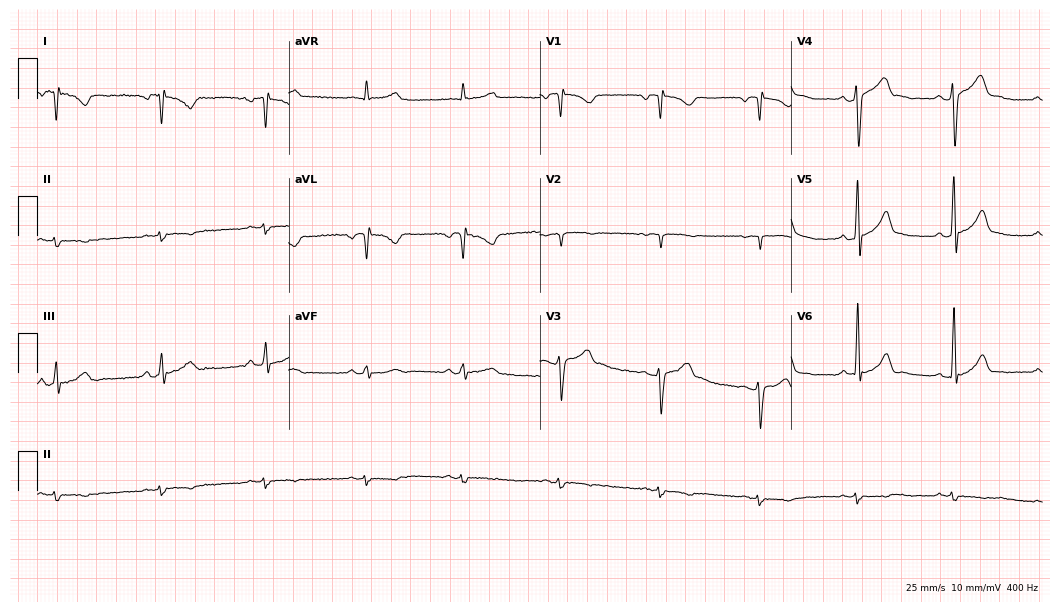
Resting 12-lead electrocardiogram (10.2-second recording at 400 Hz). Patient: a man, 26 years old. None of these six findings is recorded: first-degree AV block, right bundle branch block (RBBB), left bundle branch block (LBBB), sinus bradycardia, atrial fibrillation (AF), sinus tachycardia. Findings outside these six are not listed.